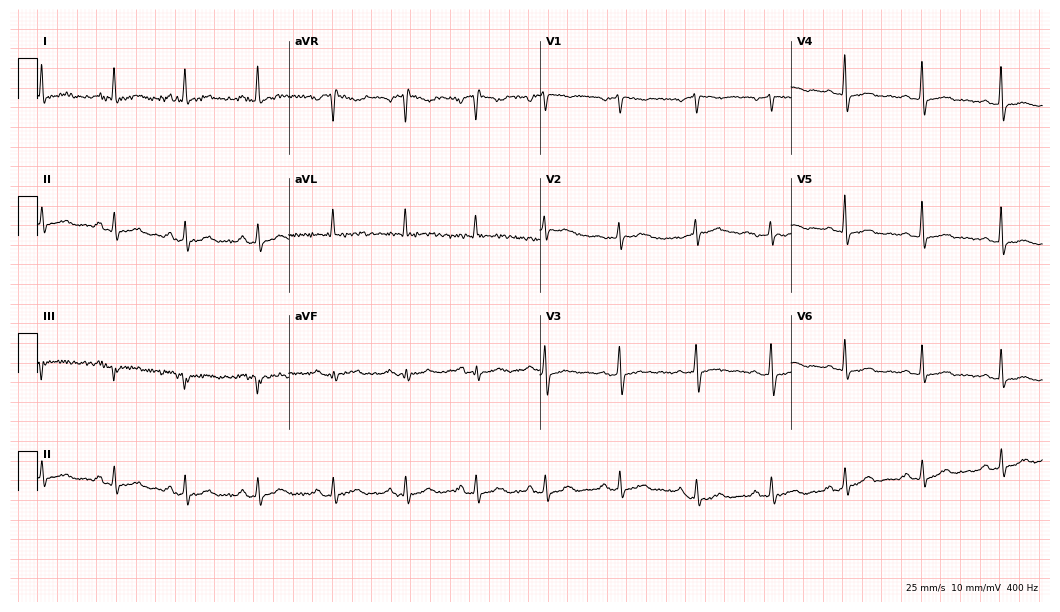
Electrocardiogram, a 56-year-old female. Of the six screened findings (first-degree AV block, right bundle branch block, left bundle branch block, sinus bradycardia, atrial fibrillation, sinus tachycardia), none is recorded. Other findings, if any, are not listed.